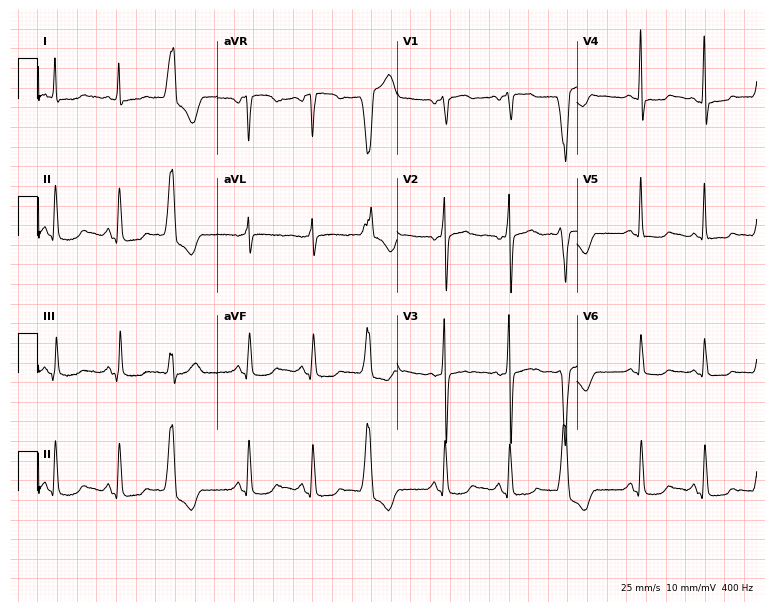
12-lead ECG from a 60-year-old woman (7.3-second recording at 400 Hz). Recorded interpretation: within normal limits.